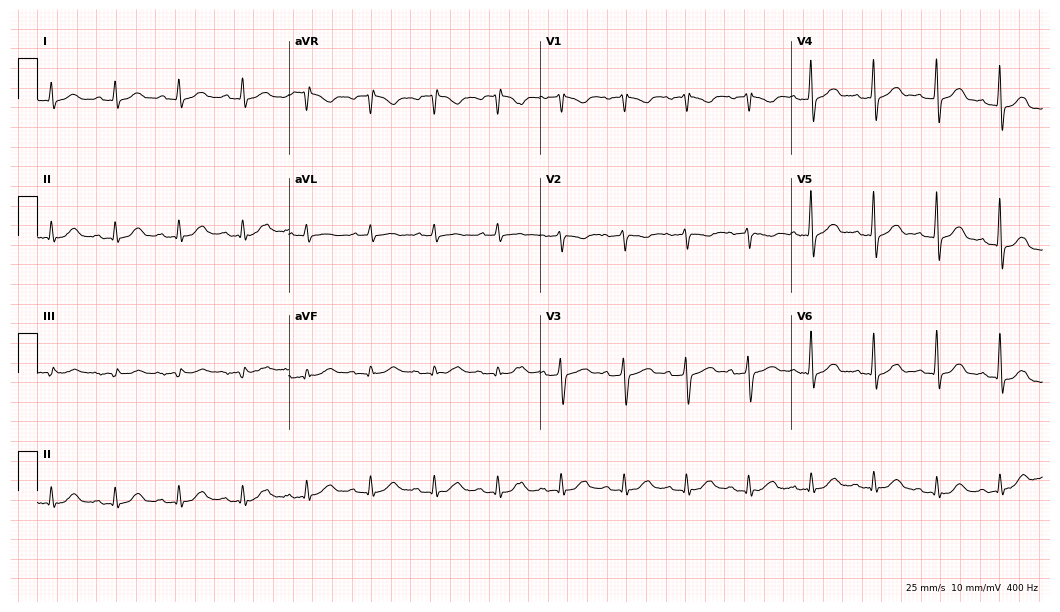
ECG — a man, 76 years old. Labelled as a normal ECG.